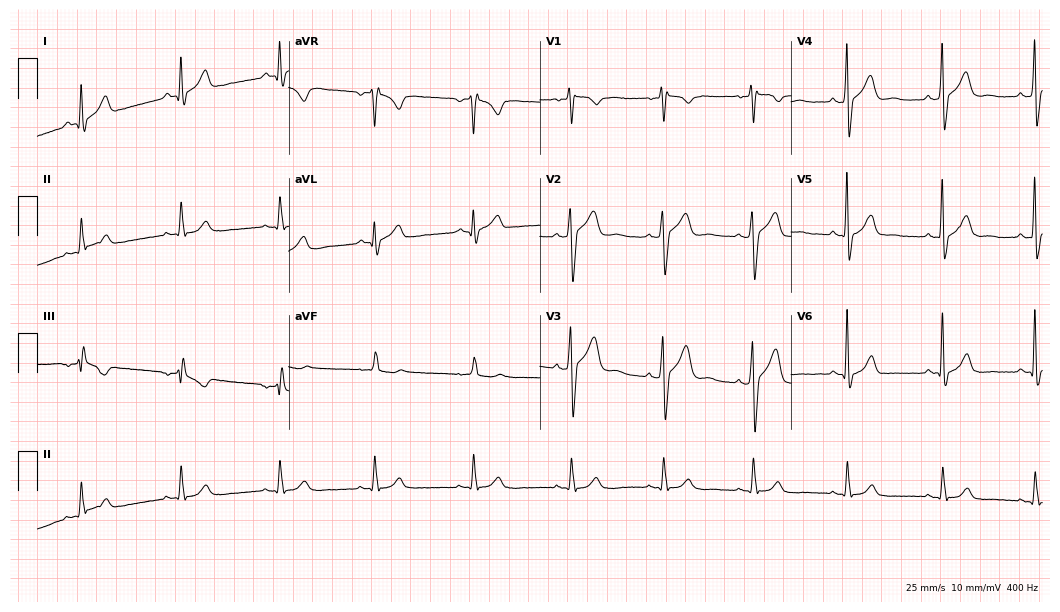
12-lead ECG from a male patient, 43 years old. Labelled as a normal ECG.